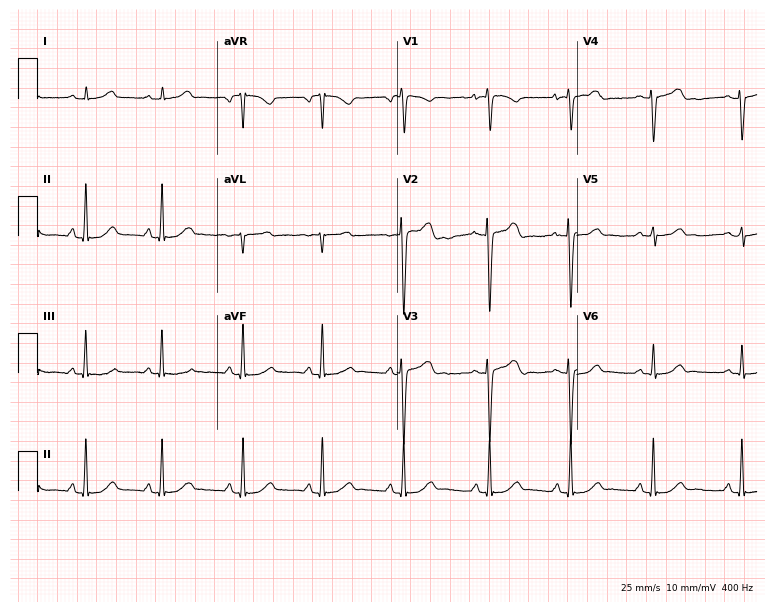
12-lead ECG from an 18-year-old woman. Recorded interpretation: within normal limits.